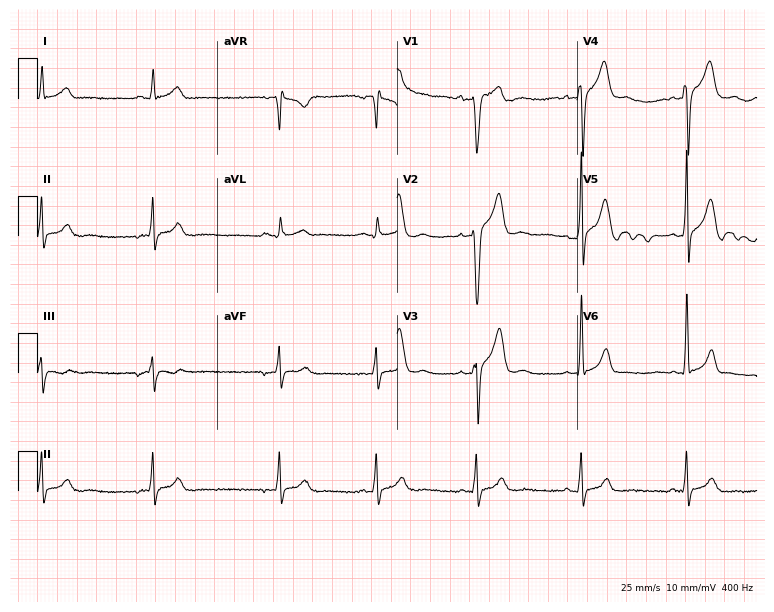
Standard 12-lead ECG recorded from a male, 23 years old. None of these six findings is recorded: first-degree AV block, right bundle branch block (RBBB), left bundle branch block (LBBB), sinus bradycardia, atrial fibrillation (AF), sinus tachycardia.